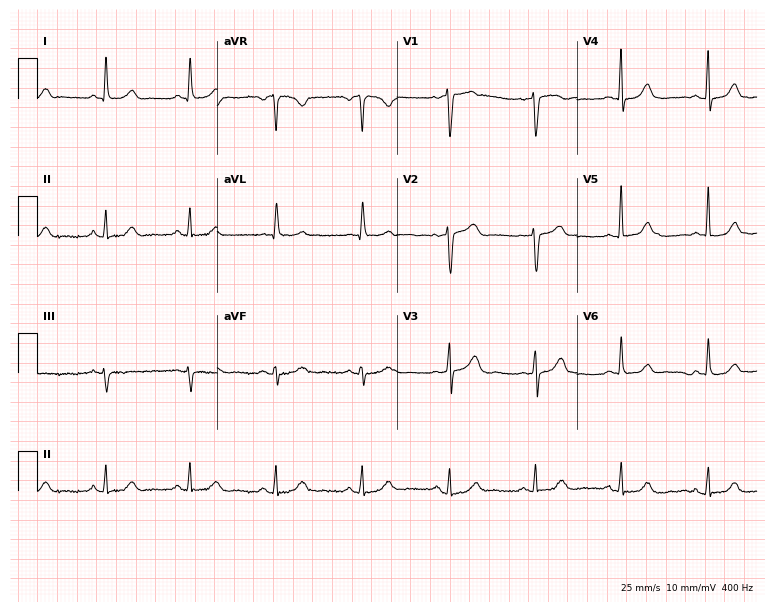
Standard 12-lead ECG recorded from a 61-year-old female patient (7.3-second recording at 400 Hz). Read as a normal ECG.